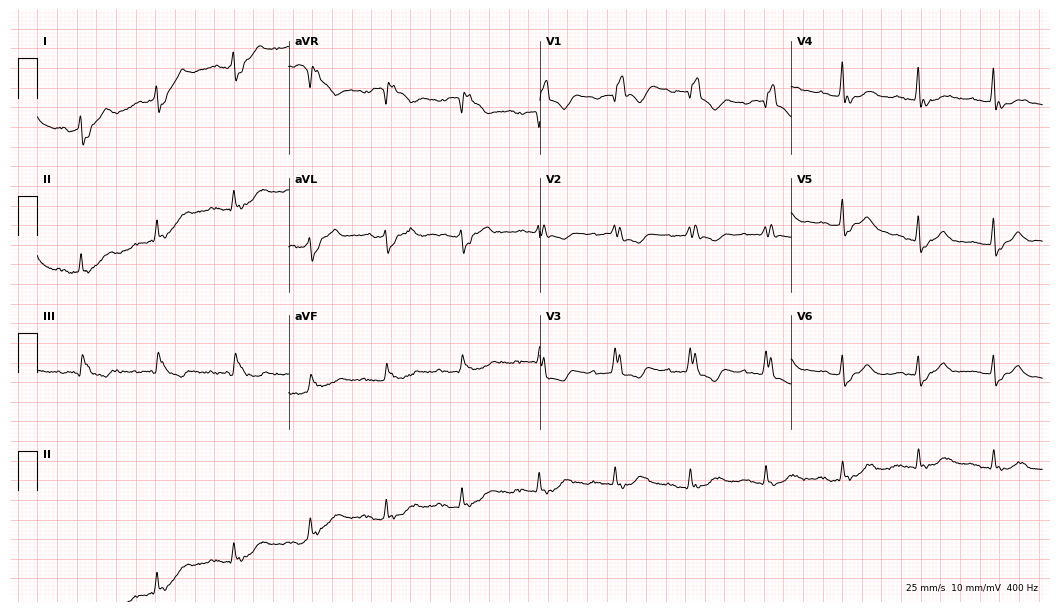
Standard 12-lead ECG recorded from a 72-year-old woman. The tracing shows right bundle branch block (RBBB).